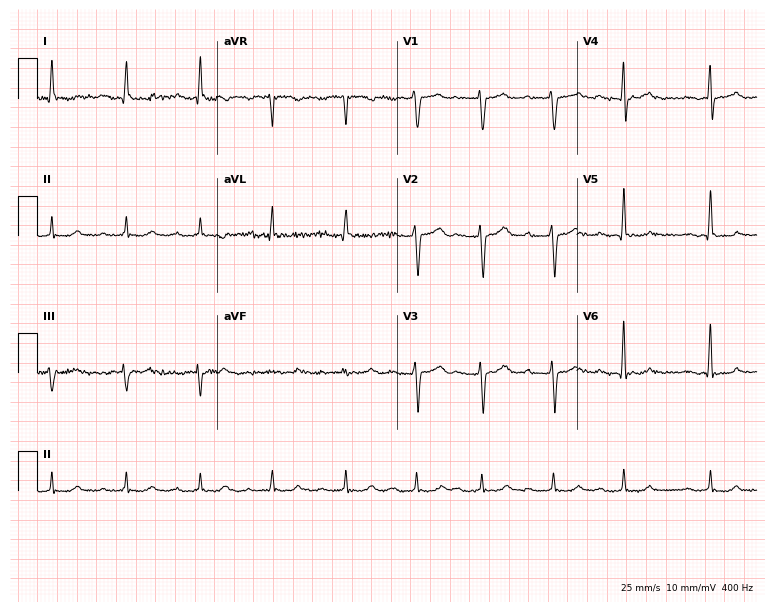
12-lead ECG from a male, 72 years old. Shows first-degree AV block, atrial fibrillation (AF).